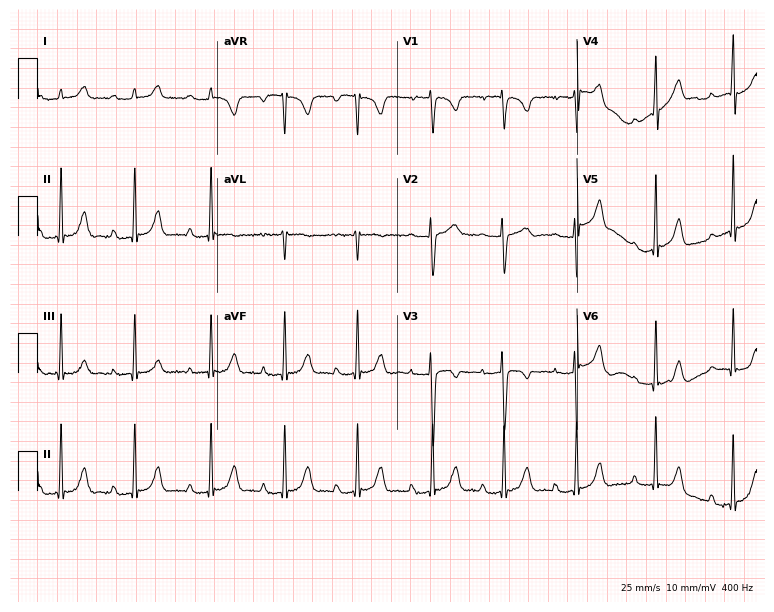
12-lead ECG (7.3-second recording at 400 Hz) from a woman, 20 years old. Findings include first-degree AV block.